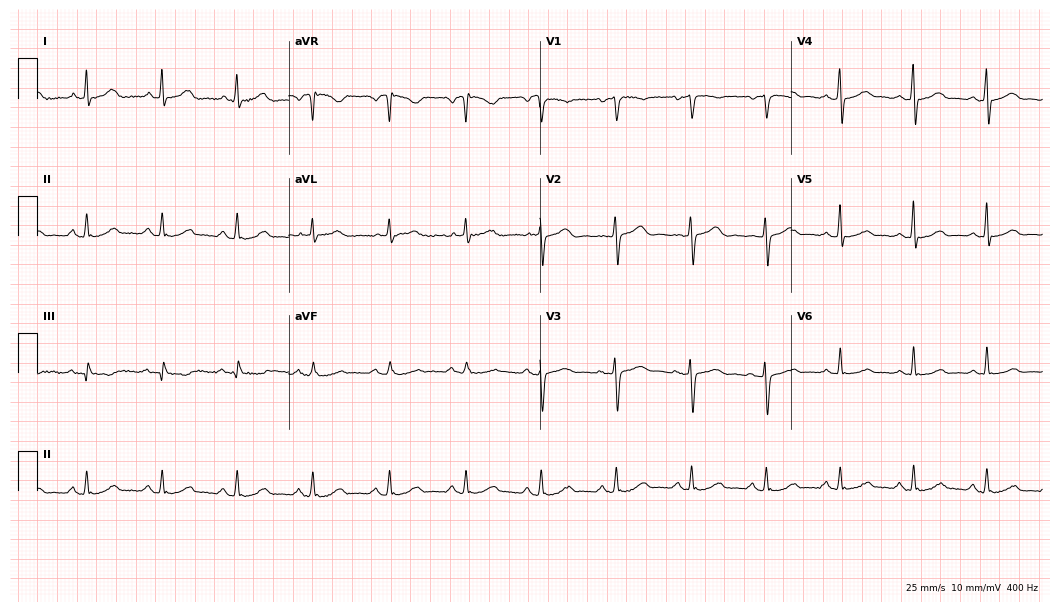
12-lead ECG from a female, 49 years old (10.2-second recording at 400 Hz). Recorded interpretation: within normal limits.